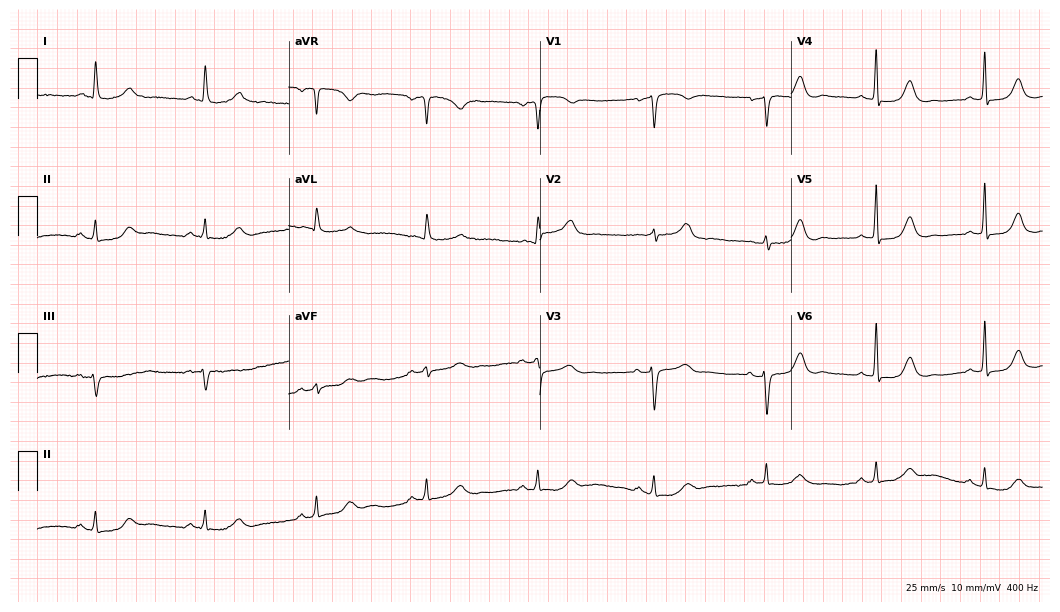
Electrocardiogram (10.2-second recording at 400 Hz), a female, 84 years old. Overall reading on record: normal ECG.